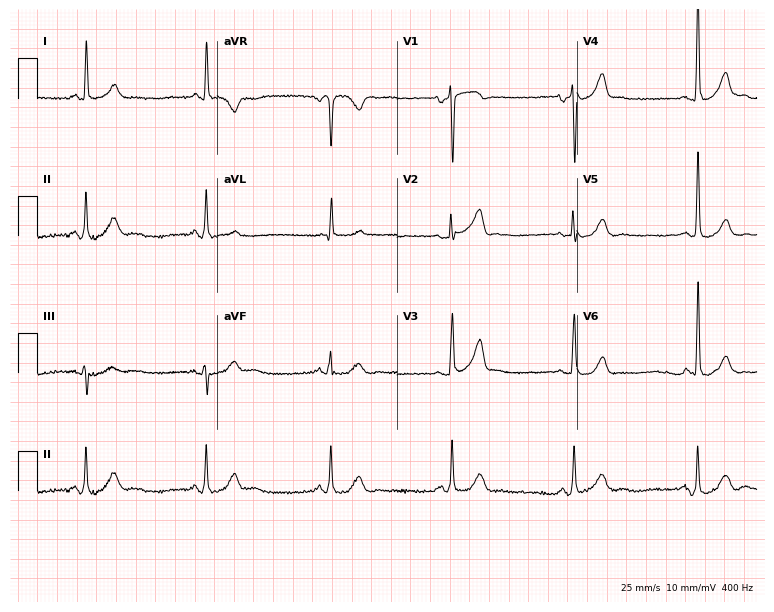
ECG — a 79-year-old male patient. Findings include sinus bradycardia (a sinus rate of 50 beats per minute or less).